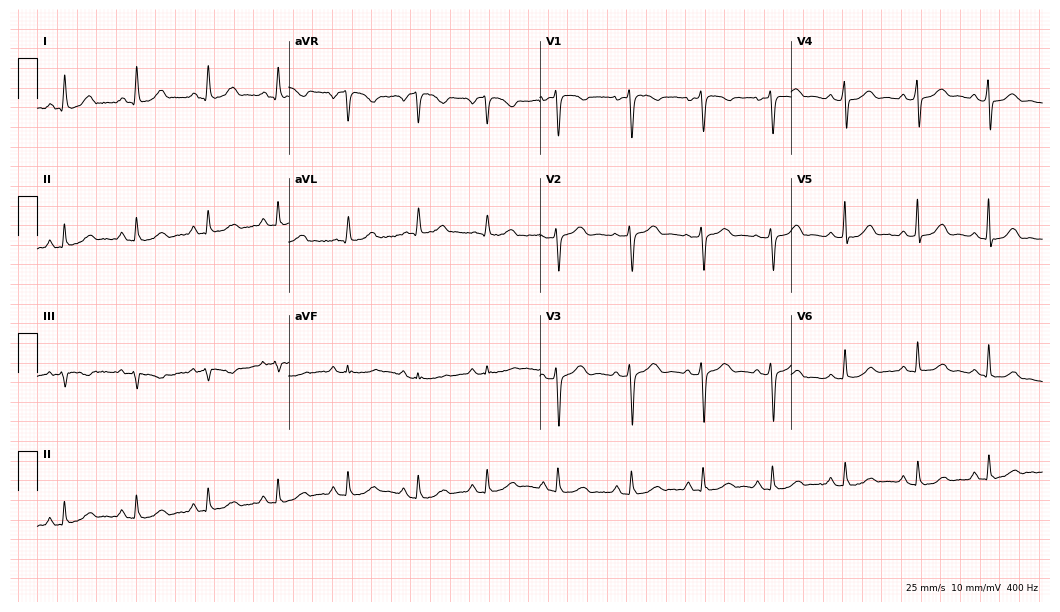
Electrocardiogram (10.2-second recording at 400 Hz), a woman, 41 years old. Overall reading on record: normal ECG.